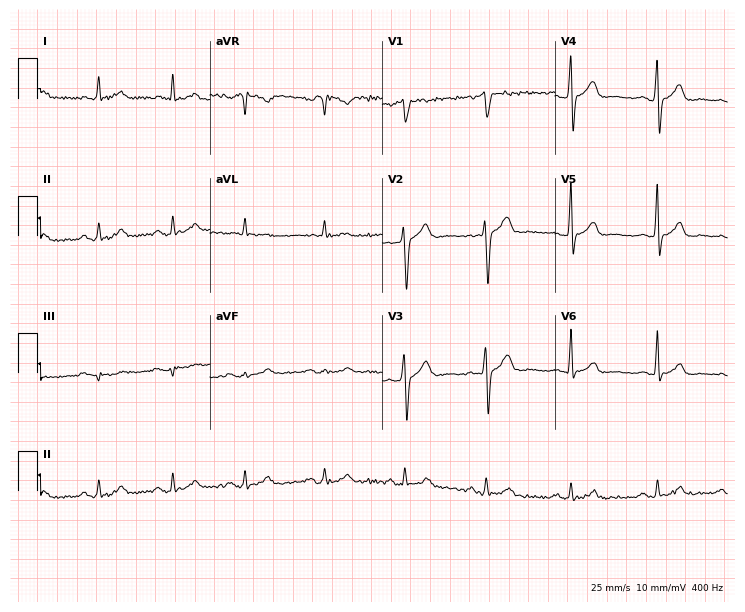
Resting 12-lead electrocardiogram. Patient: a 51-year-old male. Read as a normal ECG.